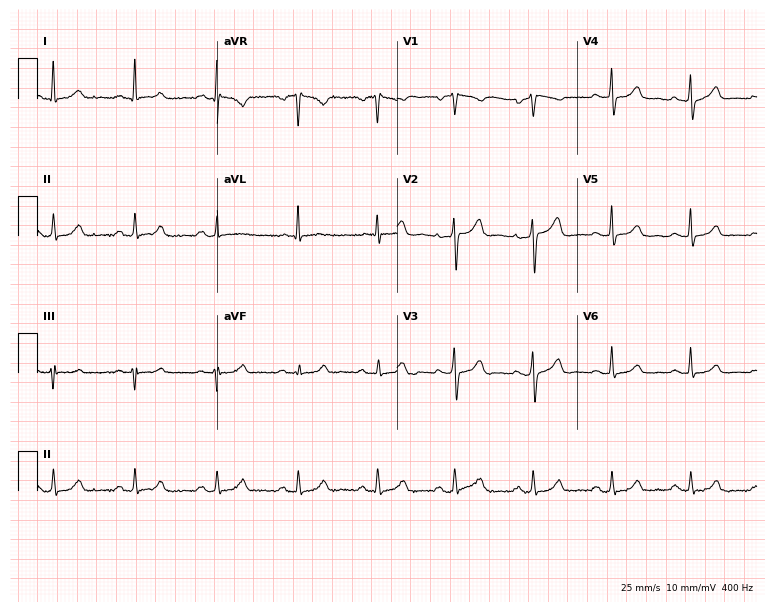
12-lead ECG from a 53-year-old male. Screened for six findings — first-degree AV block, right bundle branch block, left bundle branch block, sinus bradycardia, atrial fibrillation, sinus tachycardia — none is recorded.